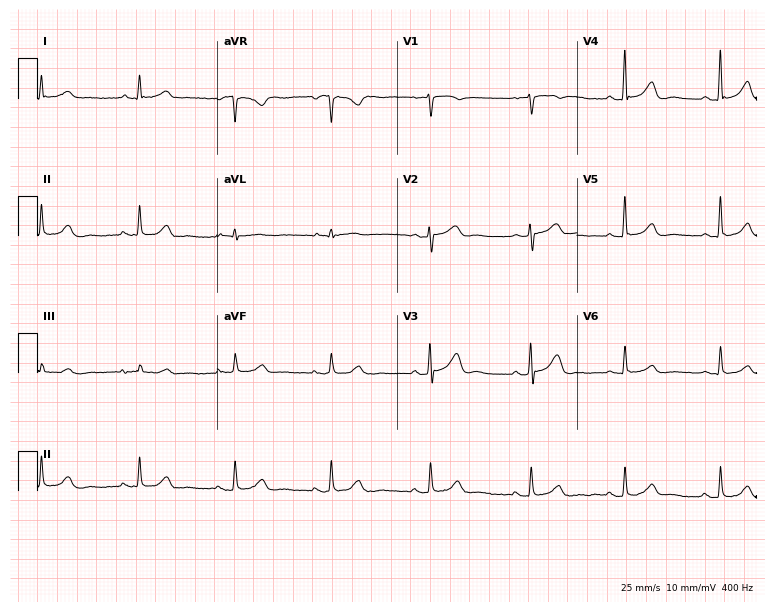
12-lead ECG from a 62-year-old female. No first-degree AV block, right bundle branch block, left bundle branch block, sinus bradycardia, atrial fibrillation or sinus tachycardia recorded for this tracing. Findings outside these six are not listed.